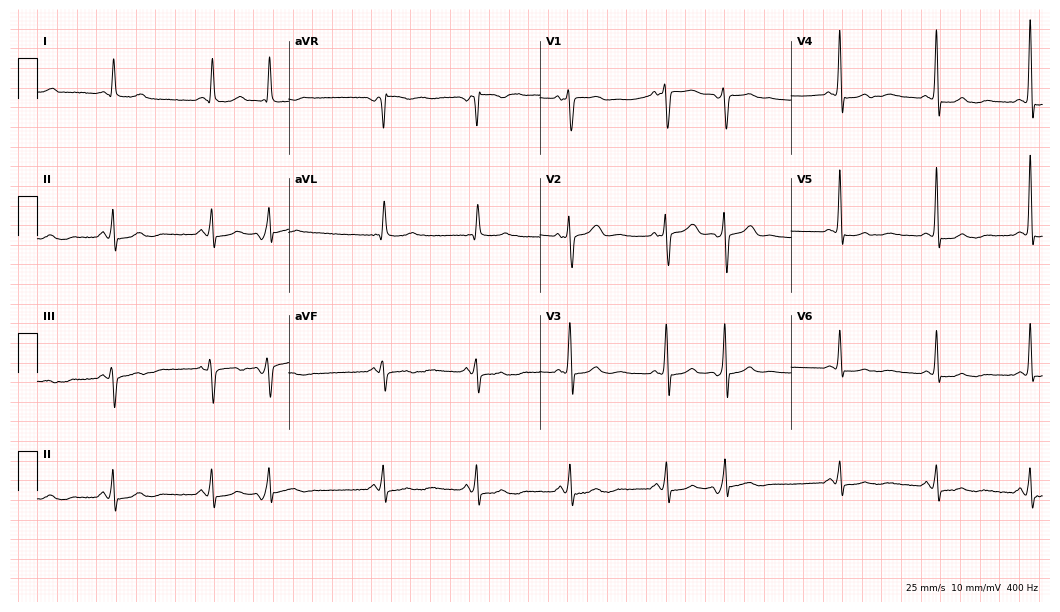
Resting 12-lead electrocardiogram (10.2-second recording at 400 Hz). Patient: a woman, 76 years old. None of these six findings is recorded: first-degree AV block, right bundle branch block, left bundle branch block, sinus bradycardia, atrial fibrillation, sinus tachycardia.